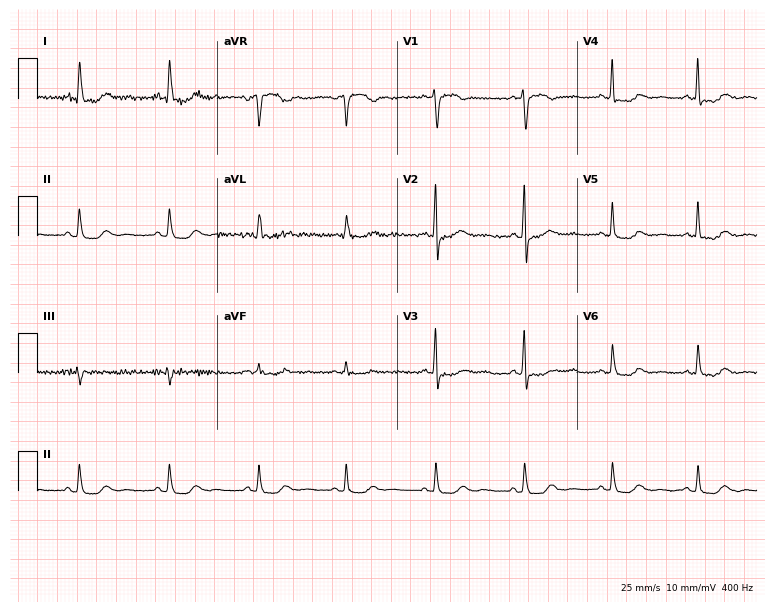
Resting 12-lead electrocardiogram. Patient: a female, 54 years old. None of these six findings is recorded: first-degree AV block, right bundle branch block, left bundle branch block, sinus bradycardia, atrial fibrillation, sinus tachycardia.